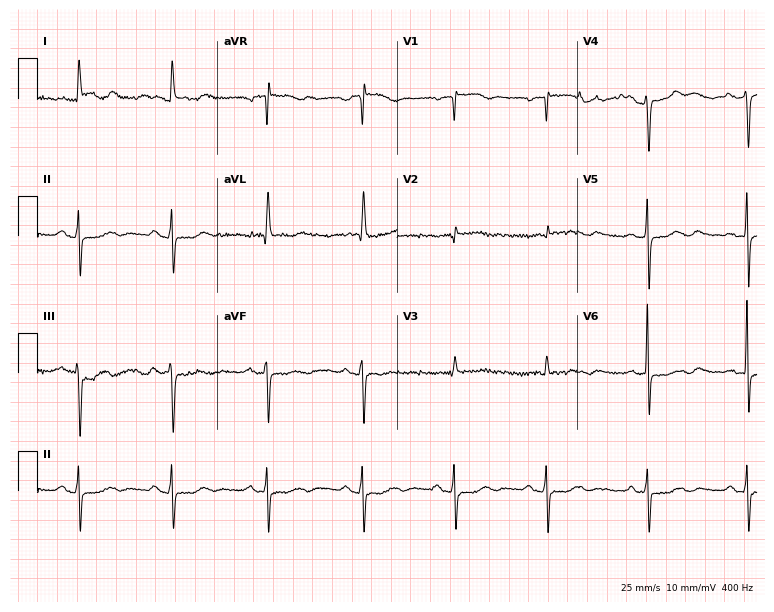
ECG (7.3-second recording at 400 Hz) — a 73-year-old female patient. Screened for six findings — first-degree AV block, right bundle branch block (RBBB), left bundle branch block (LBBB), sinus bradycardia, atrial fibrillation (AF), sinus tachycardia — none is recorded. Other findings, if any, are not listed.